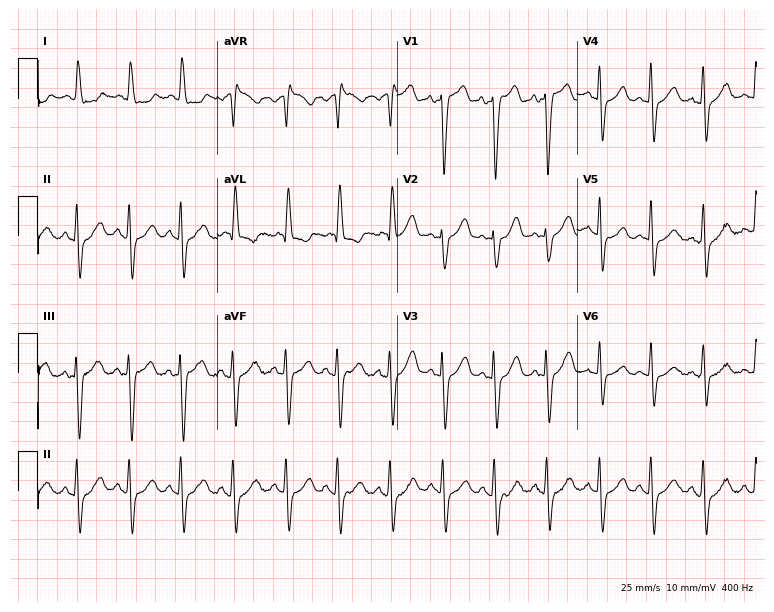
12-lead ECG from a woman, 81 years old (7.3-second recording at 400 Hz). Shows sinus tachycardia (a sinus rate of 100 beats per minute or more).